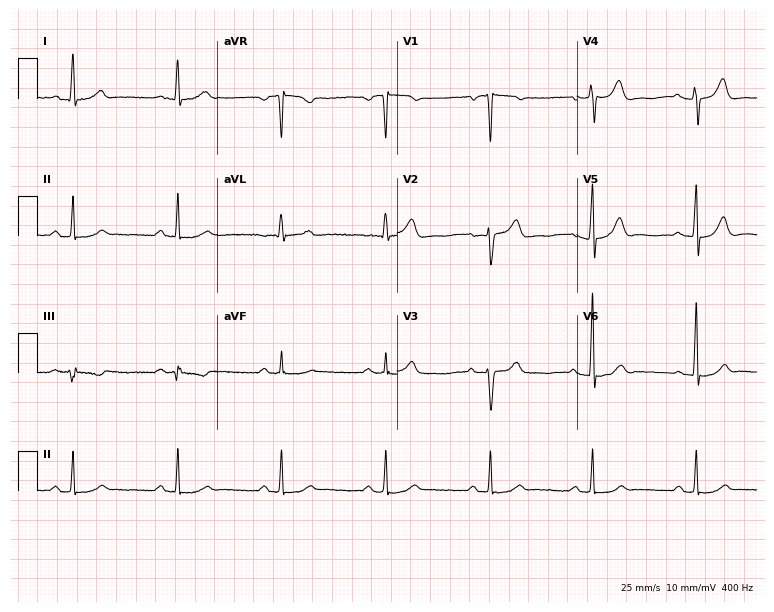
12-lead ECG from a 76-year-old man. Screened for six findings — first-degree AV block, right bundle branch block, left bundle branch block, sinus bradycardia, atrial fibrillation, sinus tachycardia — none is recorded.